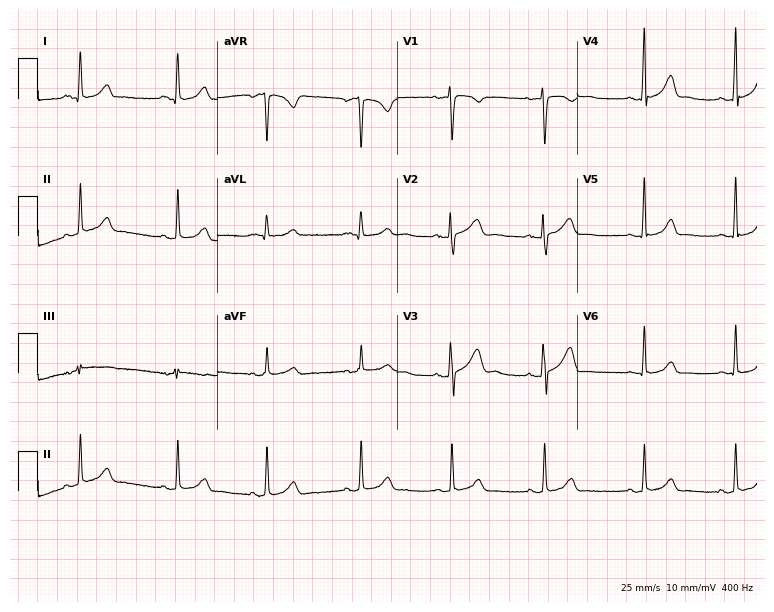
12-lead ECG from a 20-year-old female (7.3-second recording at 400 Hz). Recorded interpretation: within normal limits.